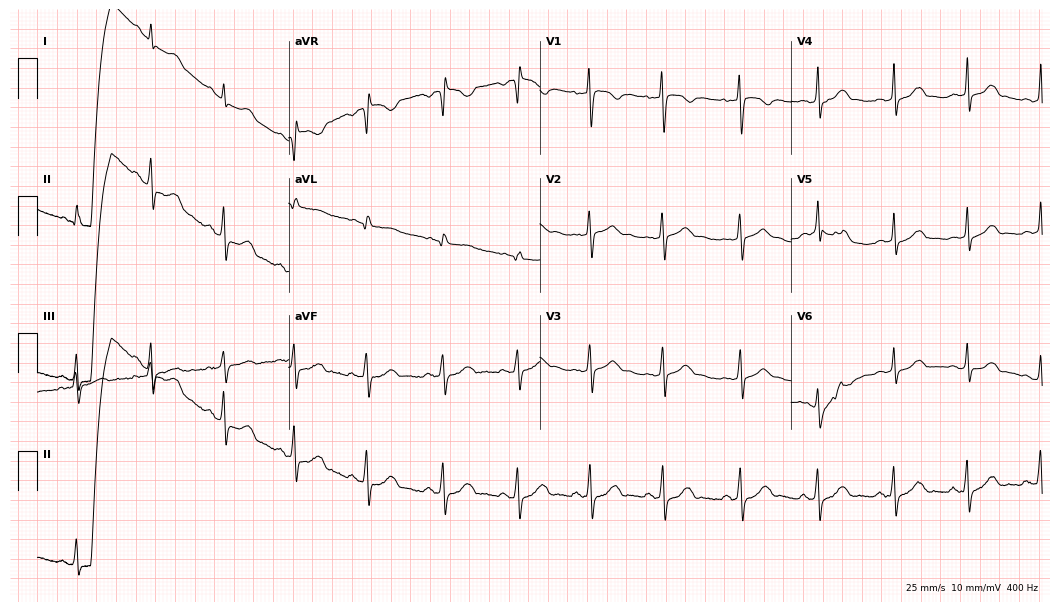
ECG (10.2-second recording at 400 Hz) — a 27-year-old female. Labelled as a normal ECG.